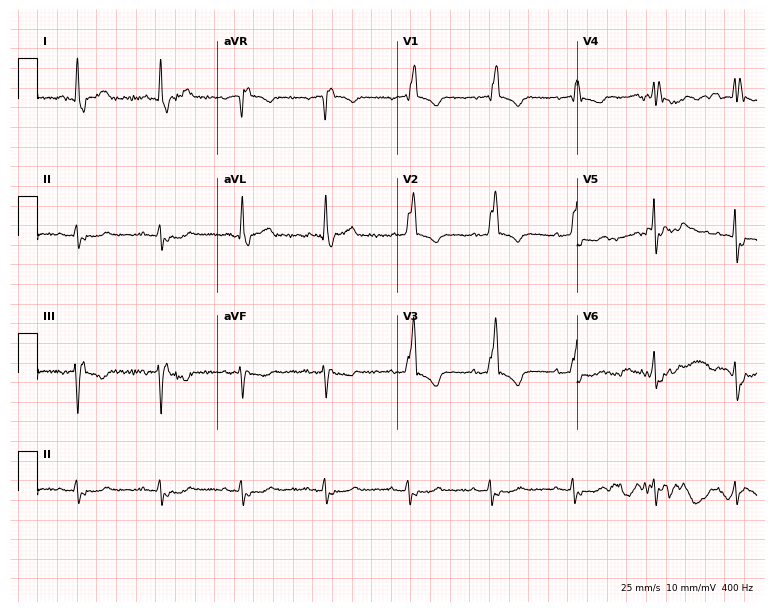
Standard 12-lead ECG recorded from a woman, 85 years old (7.3-second recording at 400 Hz). The tracing shows right bundle branch block (RBBB).